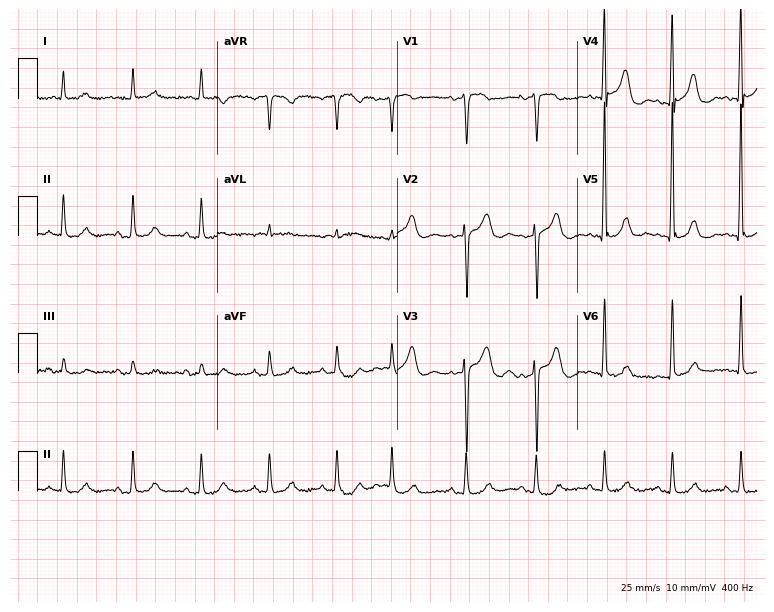
Standard 12-lead ECG recorded from a man, 85 years old (7.3-second recording at 400 Hz). None of these six findings is recorded: first-degree AV block, right bundle branch block, left bundle branch block, sinus bradycardia, atrial fibrillation, sinus tachycardia. Findings outside these six are not listed.